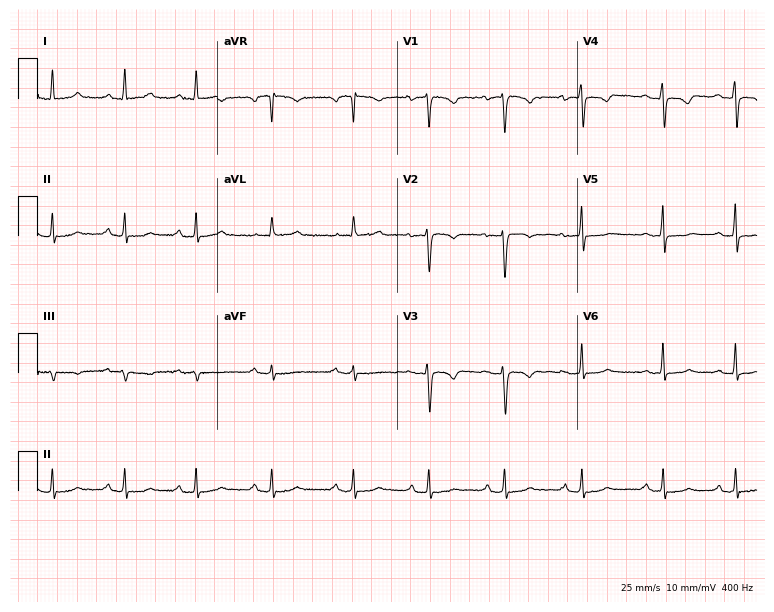
Electrocardiogram, a 50-year-old woman. Of the six screened findings (first-degree AV block, right bundle branch block, left bundle branch block, sinus bradycardia, atrial fibrillation, sinus tachycardia), none is recorded. Other findings, if any, are not listed.